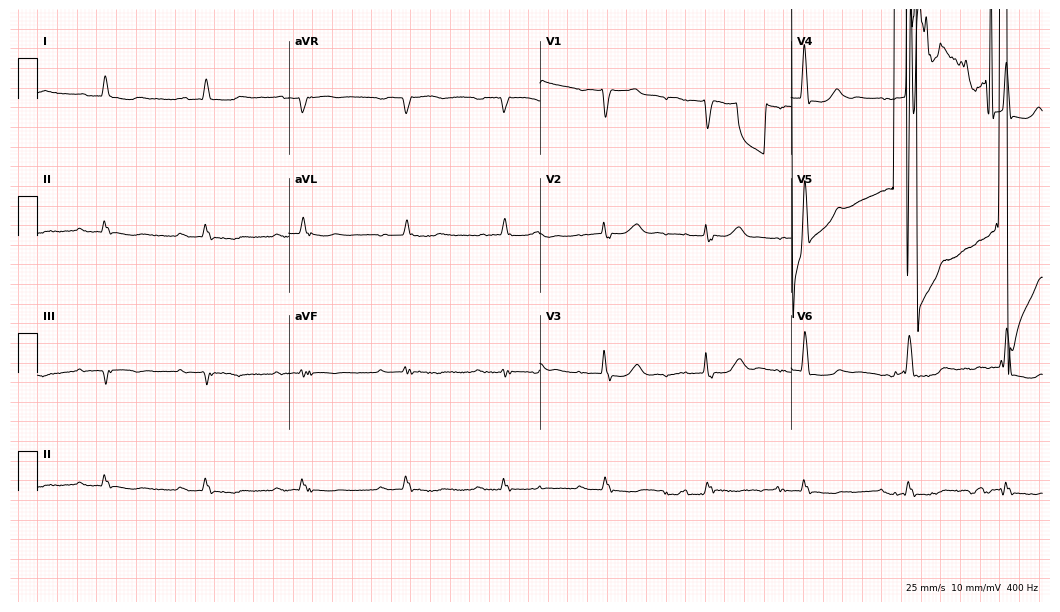
ECG (10.2-second recording at 400 Hz) — a man, 80 years old. Screened for six findings — first-degree AV block, right bundle branch block (RBBB), left bundle branch block (LBBB), sinus bradycardia, atrial fibrillation (AF), sinus tachycardia — none is recorded. Findings outside these six are not listed.